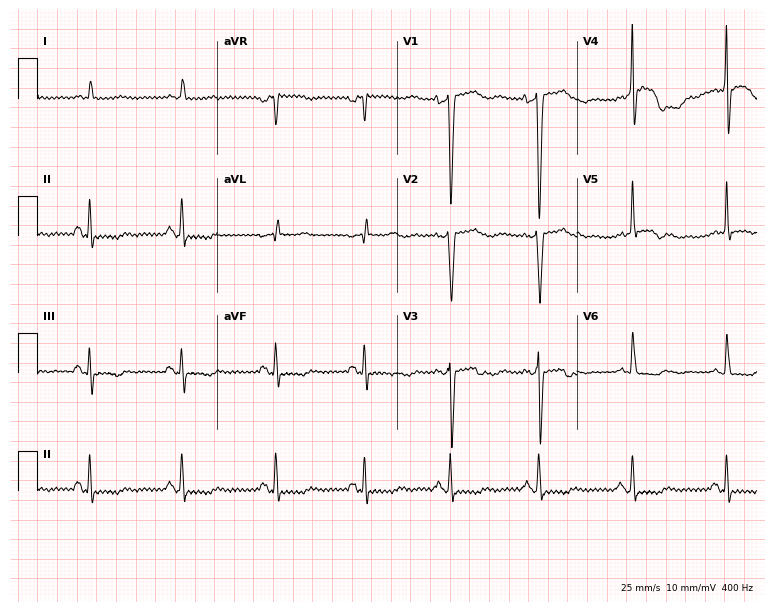
12-lead ECG (7.3-second recording at 400 Hz) from a 73-year-old woman. Screened for six findings — first-degree AV block, right bundle branch block, left bundle branch block, sinus bradycardia, atrial fibrillation, sinus tachycardia — none is recorded.